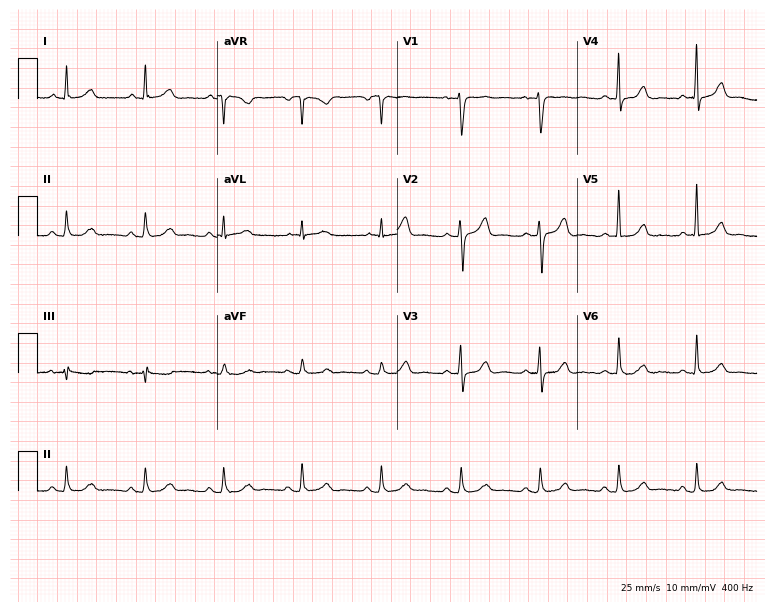
ECG (7.3-second recording at 400 Hz) — a 66-year-old male. Labelled as a normal ECG.